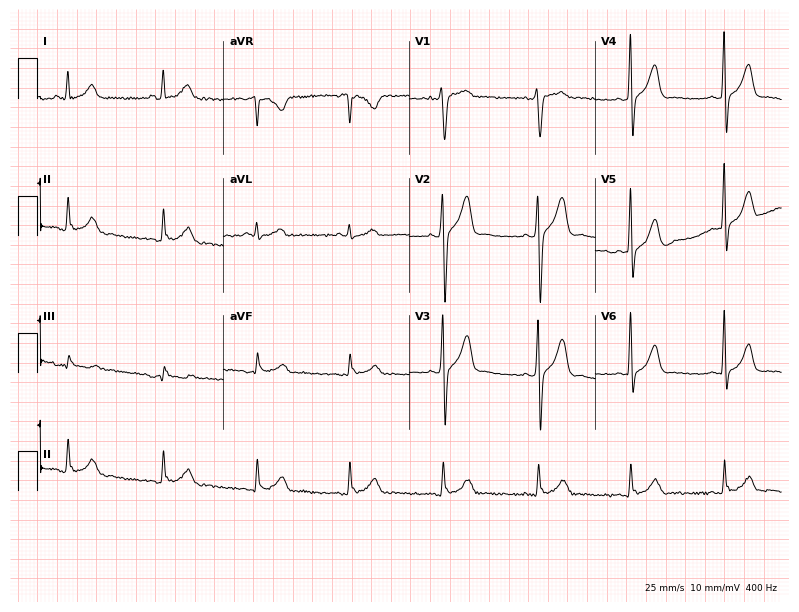
Electrocardiogram, a male, 36 years old. Of the six screened findings (first-degree AV block, right bundle branch block (RBBB), left bundle branch block (LBBB), sinus bradycardia, atrial fibrillation (AF), sinus tachycardia), none is recorded.